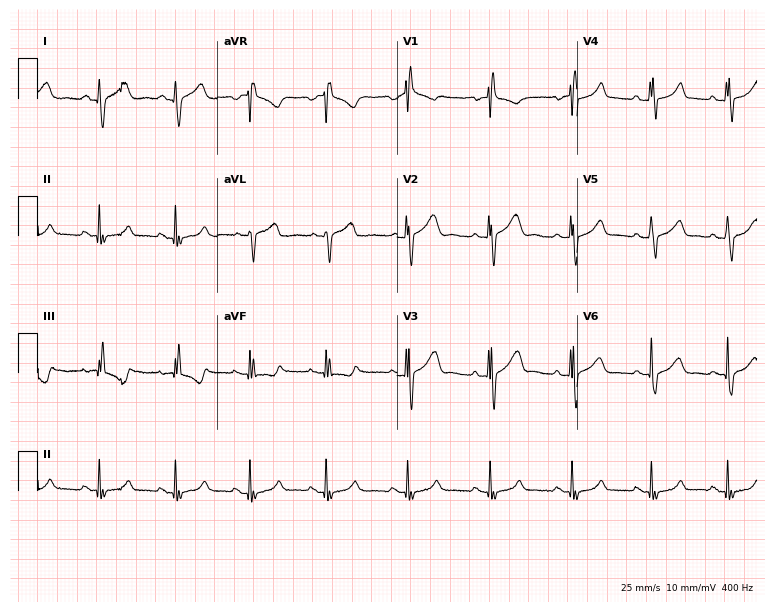
12-lead ECG (7.3-second recording at 400 Hz) from a 26-year-old woman. Screened for six findings — first-degree AV block, right bundle branch block, left bundle branch block, sinus bradycardia, atrial fibrillation, sinus tachycardia — none is recorded.